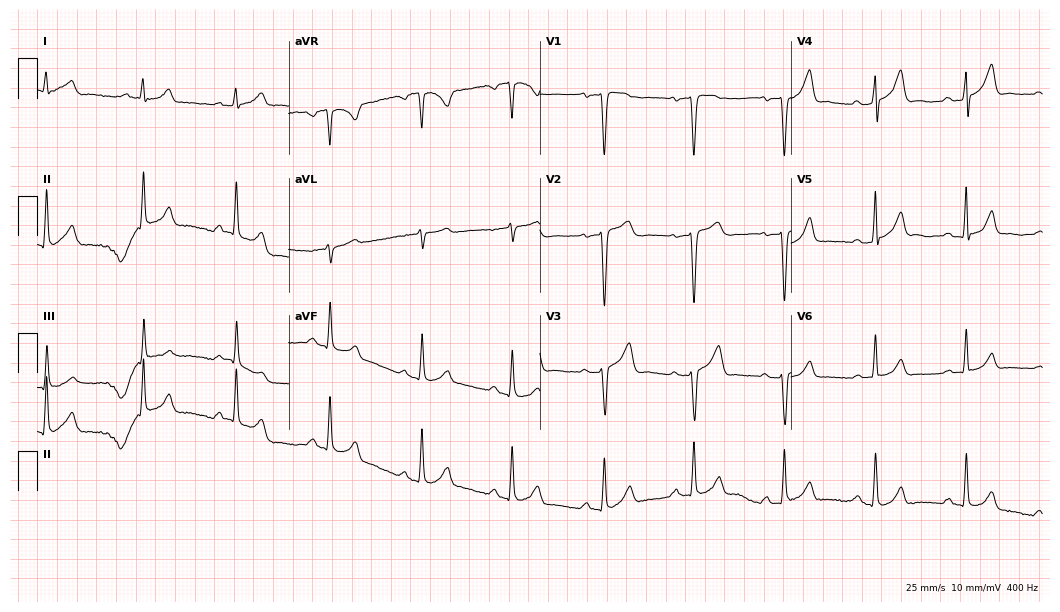
Resting 12-lead electrocardiogram. Patient: a male, 46 years old. None of these six findings is recorded: first-degree AV block, right bundle branch block (RBBB), left bundle branch block (LBBB), sinus bradycardia, atrial fibrillation (AF), sinus tachycardia.